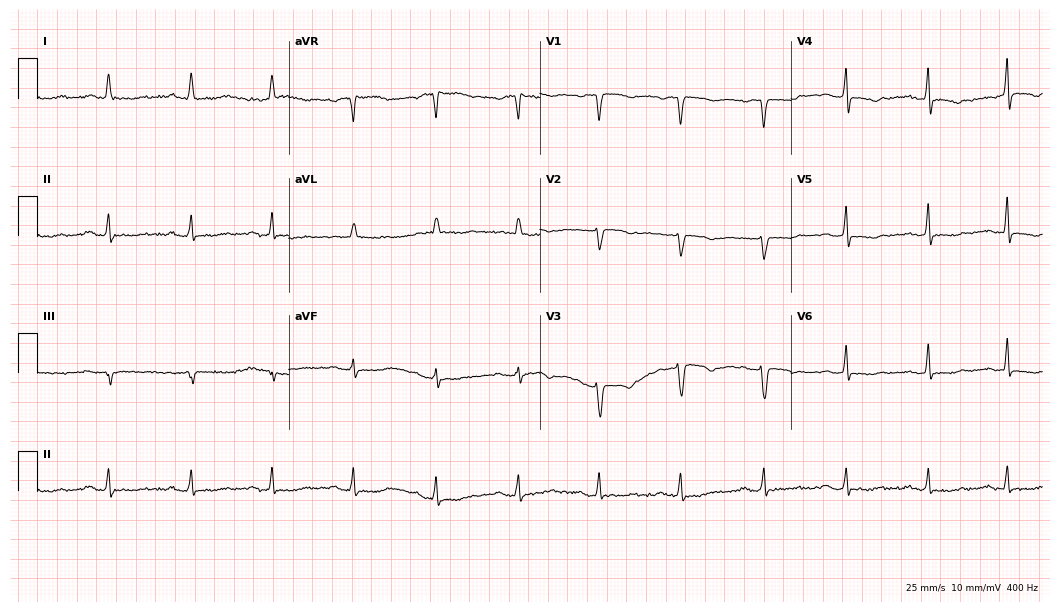
12-lead ECG from a 78-year-old female. Labelled as a normal ECG.